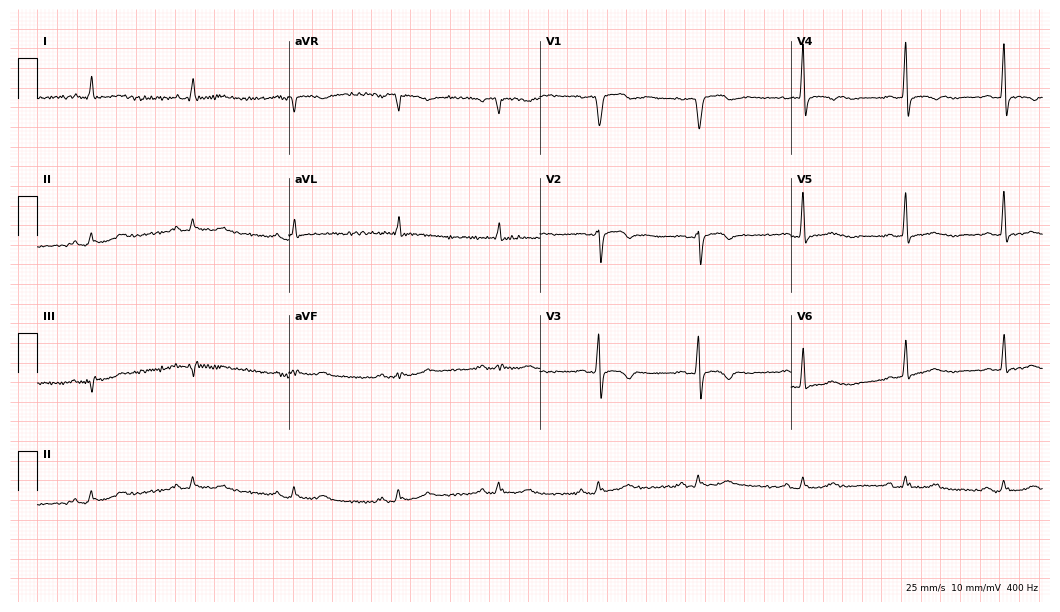
12-lead ECG (10.2-second recording at 400 Hz) from a 64-year-old male patient. Screened for six findings — first-degree AV block, right bundle branch block, left bundle branch block, sinus bradycardia, atrial fibrillation, sinus tachycardia — none is recorded. Other findings, if any, are not listed.